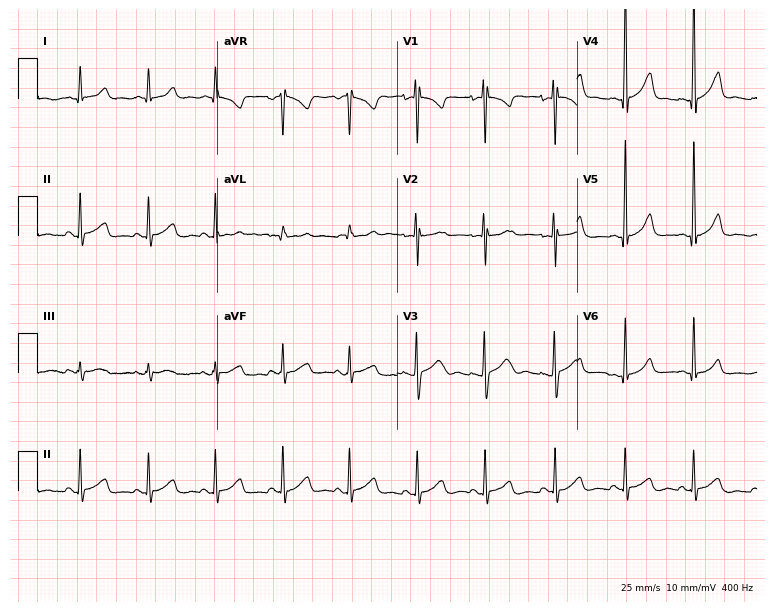
Standard 12-lead ECG recorded from a 24-year-old male patient (7.3-second recording at 400 Hz). Read as a normal ECG.